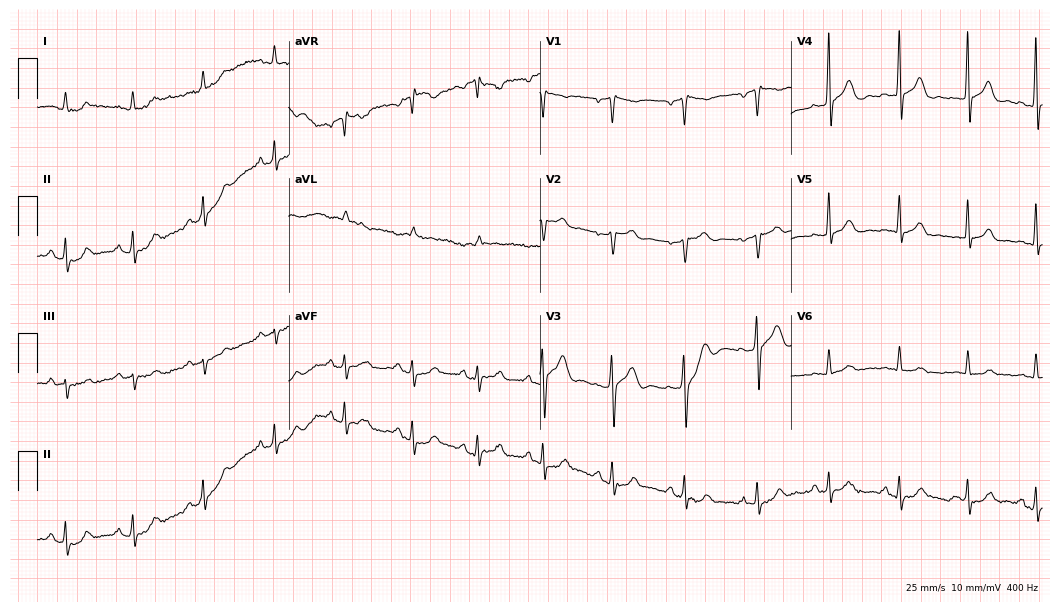
12-lead ECG (10.2-second recording at 400 Hz) from a man, 58 years old. Labelled as a normal ECG.